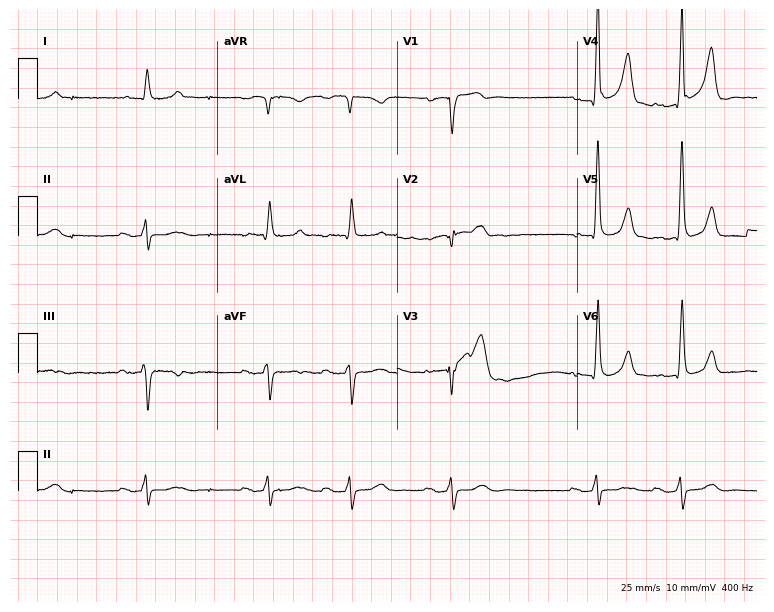
Standard 12-lead ECG recorded from a man, 85 years old. None of these six findings is recorded: first-degree AV block, right bundle branch block, left bundle branch block, sinus bradycardia, atrial fibrillation, sinus tachycardia.